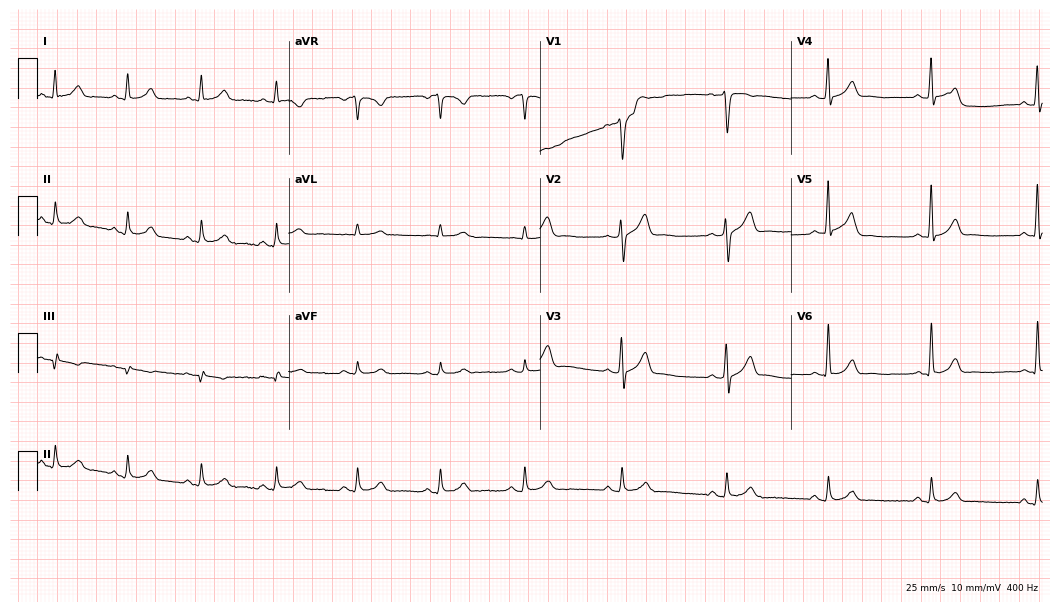
12-lead ECG (10.2-second recording at 400 Hz) from a 41-year-old man. Labelled as a normal ECG.